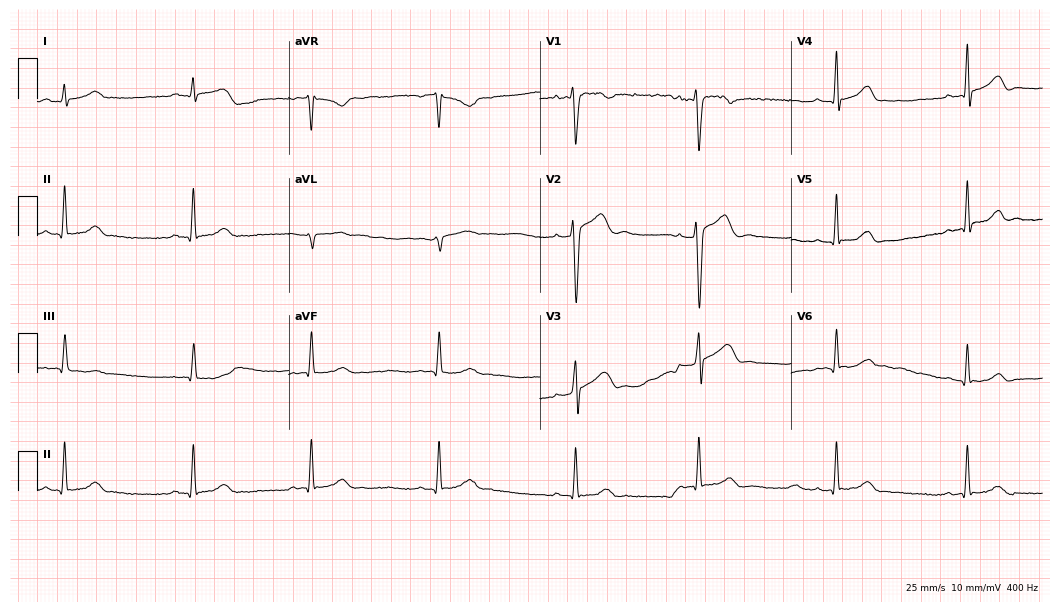
Standard 12-lead ECG recorded from a 21-year-old male patient. The tracing shows sinus bradycardia (a sinus rate of 50 beats per minute or less).